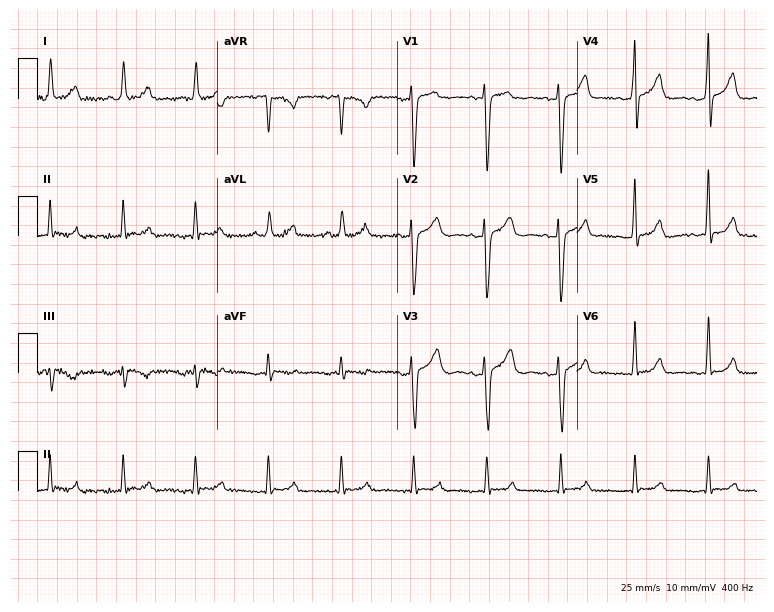
Resting 12-lead electrocardiogram (7.3-second recording at 400 Hz). Patient: a 52-year-old woman. Read as a normal ECG.